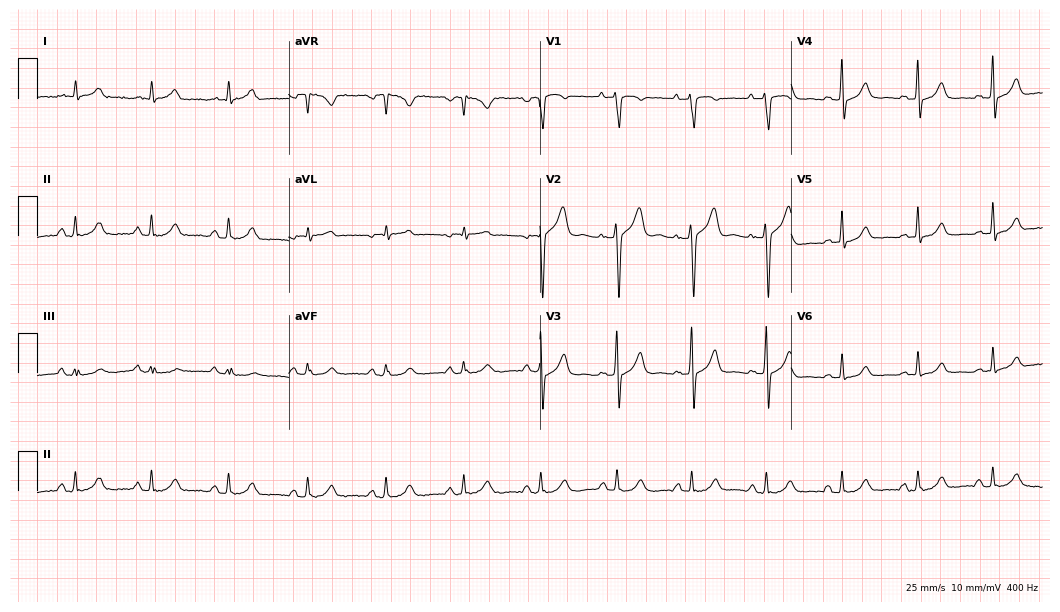
Standard 12-lead ECG recorded from a 46-year-old male. Read as a normal ECG.